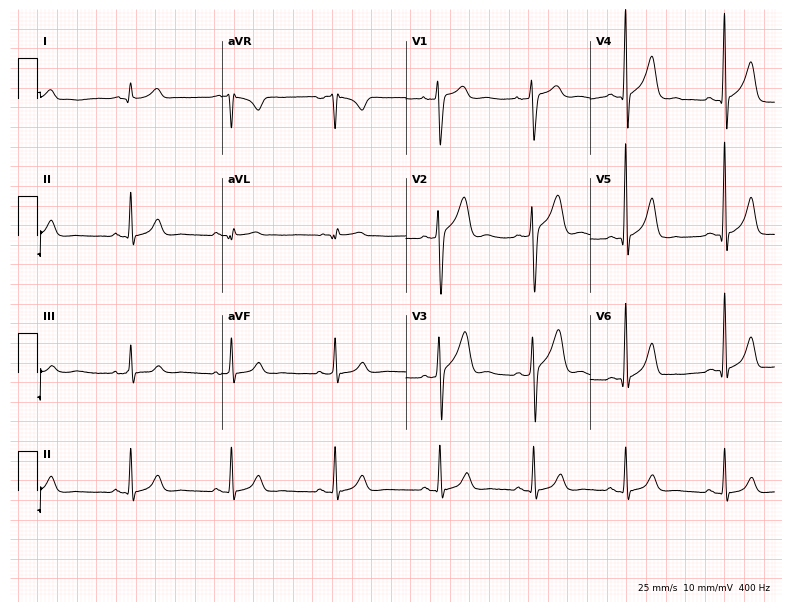
Resting 12-lead electrocardiogram. Patient: a 21-year-old female. Read as a normal ECG.